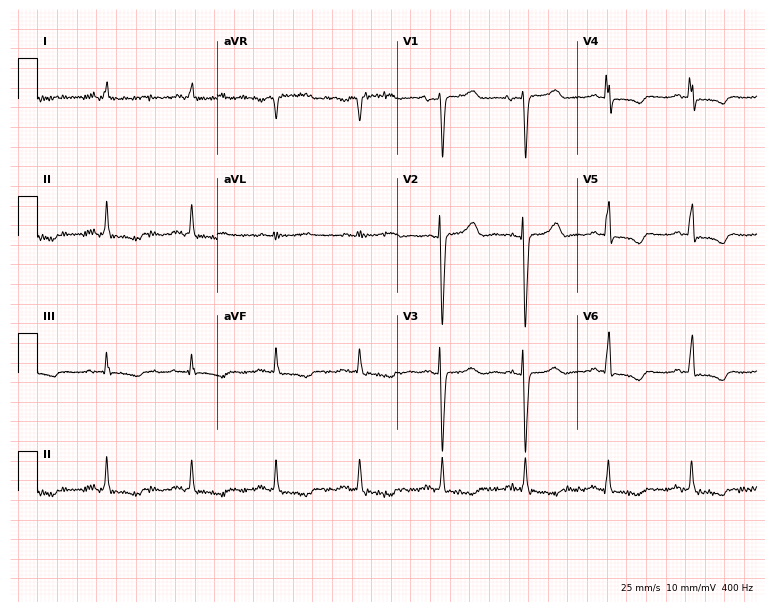
Resting 12-lead electrocardiogram (7.3-second recording at 400 Hz). Patient: a 70-year-old man. None of these six findings is recorded: first-degree AV block, right bundle branch block (RBBB), left bundle branch block (LBBB), sinus bradycardia, atrial fibrillation (AF), sinus tachycardia.